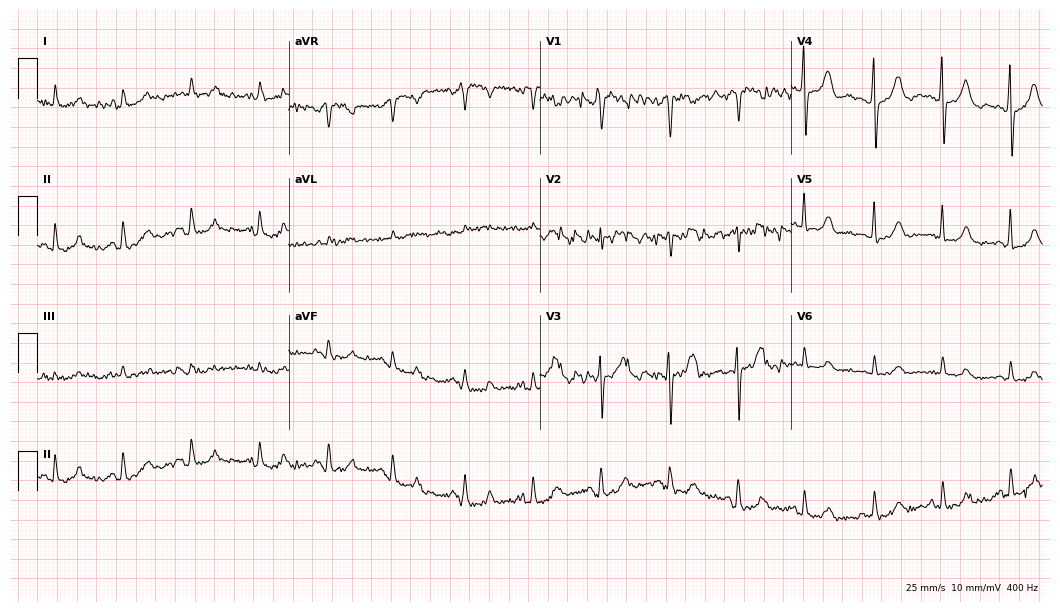
12-lead ECG from a woman, 85 years old. Screened for six findings — first-degree AV block, right bundle branch block, left bundle branch block, sinus bradycardia, atrial fibrillation, sinus tachycardia — none is recorded.